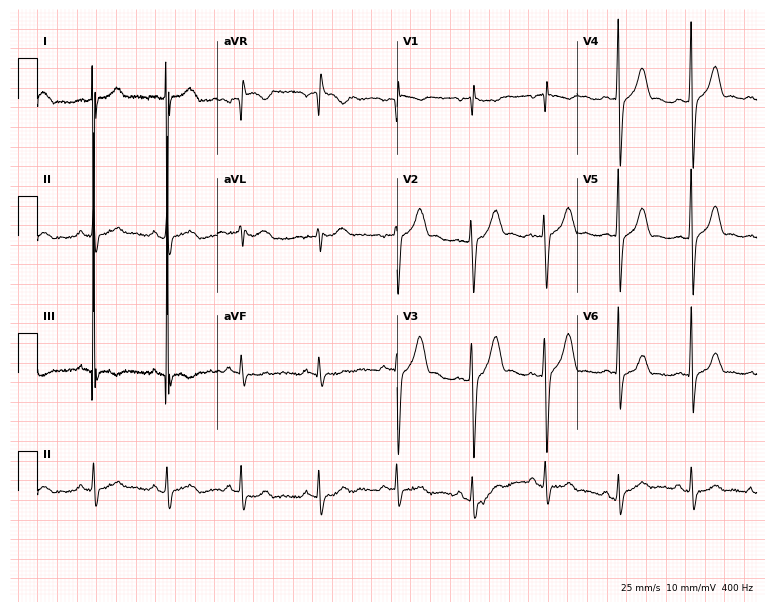
12-lead ECG from a 32-year-old man (7.3-second recording at 400 Hz). No first-degree AV block, right bundle branch block, left bundle branch block, sinus bradycardia, atrial fibrillation or sinus tachycardia recorded for this tracing.